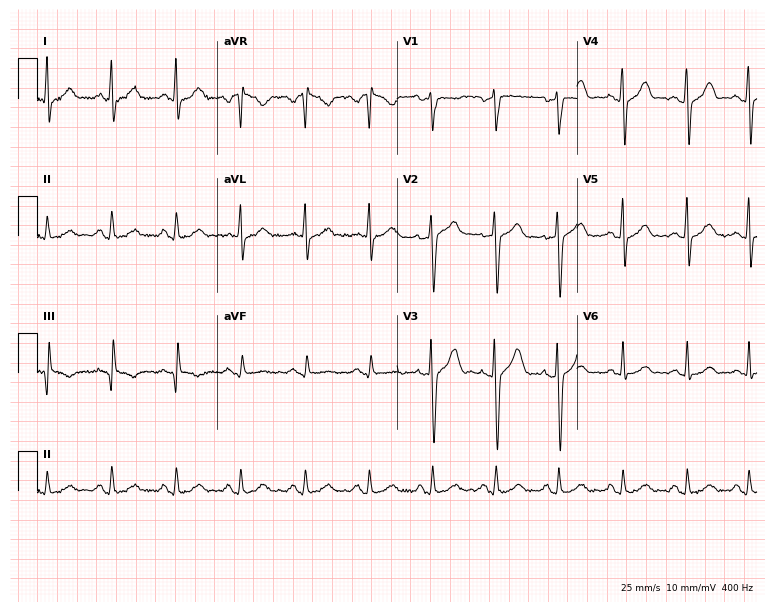
Electrocardiogram (7.3-second recording at 400 Hz), a 36-year-old male. Overall reading on record: normal ECG.